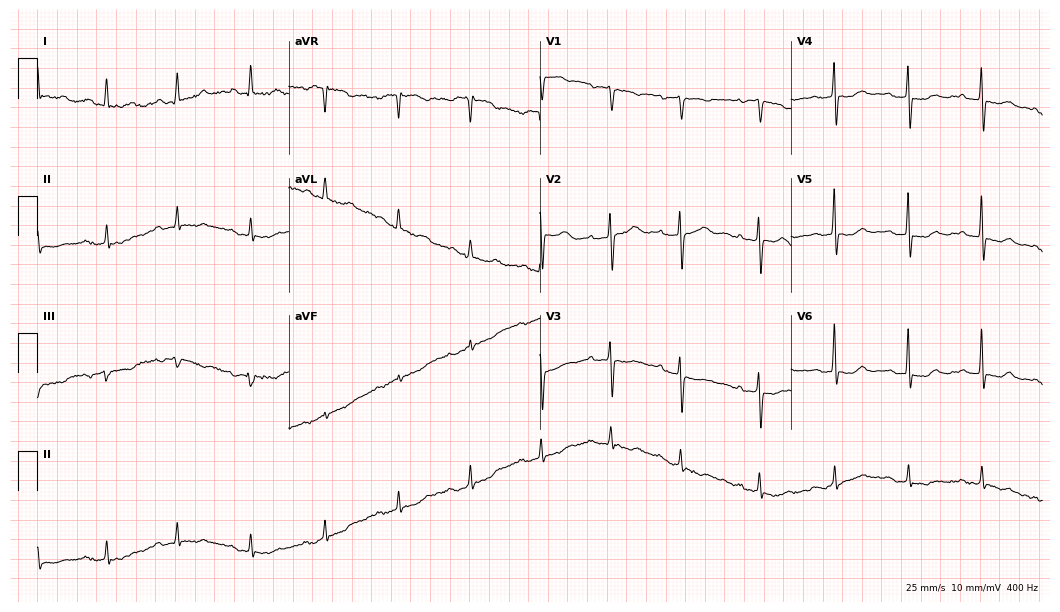
12-lead ECG from an 81-year-old woman. Labelled as a normal ECG.